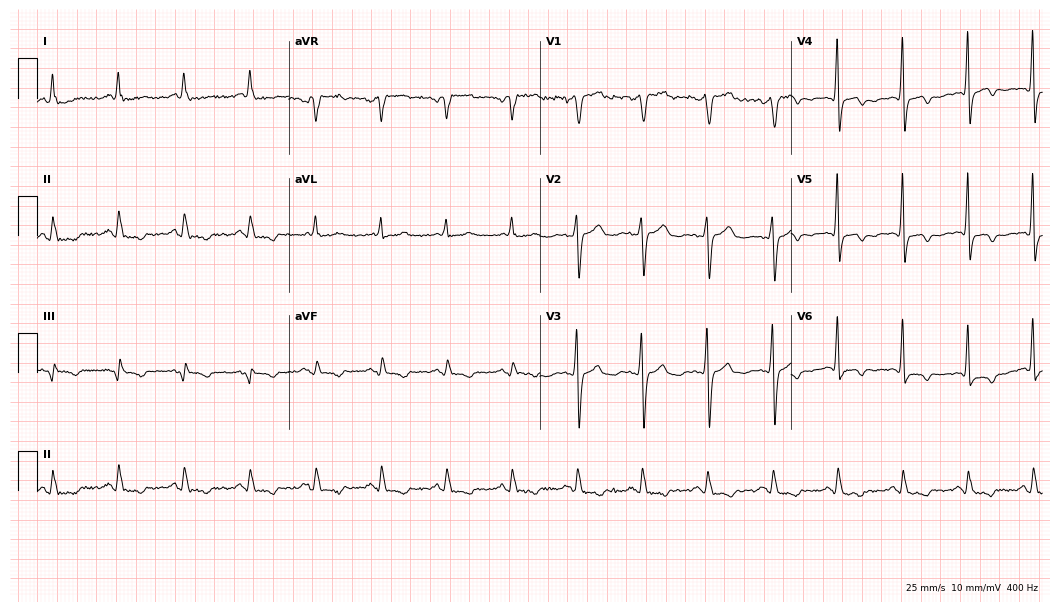
Resting 12-lead electrocardiogram. Patient: a woman, 50 years old. None of these six findings is recorded: first-degree AV block, right bundle branch block, left bundle branch block, sinus bradycardia, atrial fibrillation, sinus tachycardia.